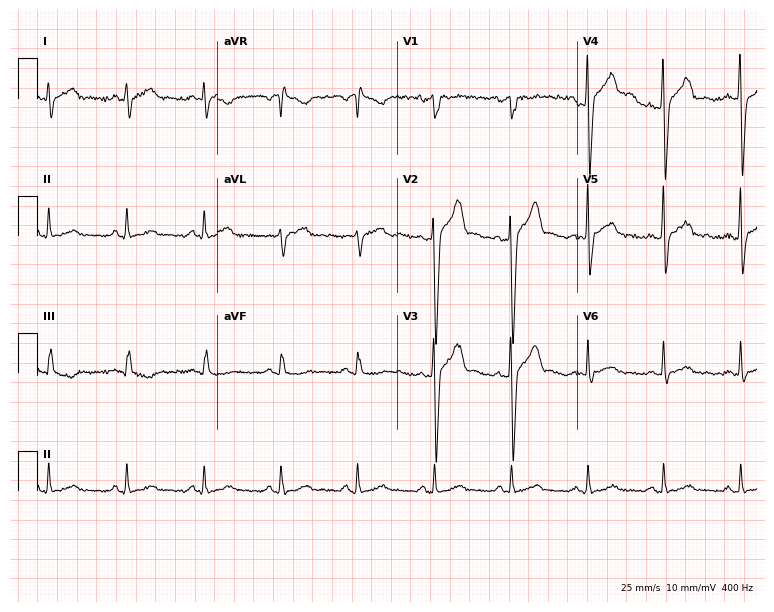
12-lead ECG (7.3-second recording at 400 Hz) from a male patient, 38 years old. Screened for six findings — first-degree AV block, right bundle branch block, left bundle branch block, sinus bradycardia, atrial fibrillation, sinus tachycardia — none is recorded.